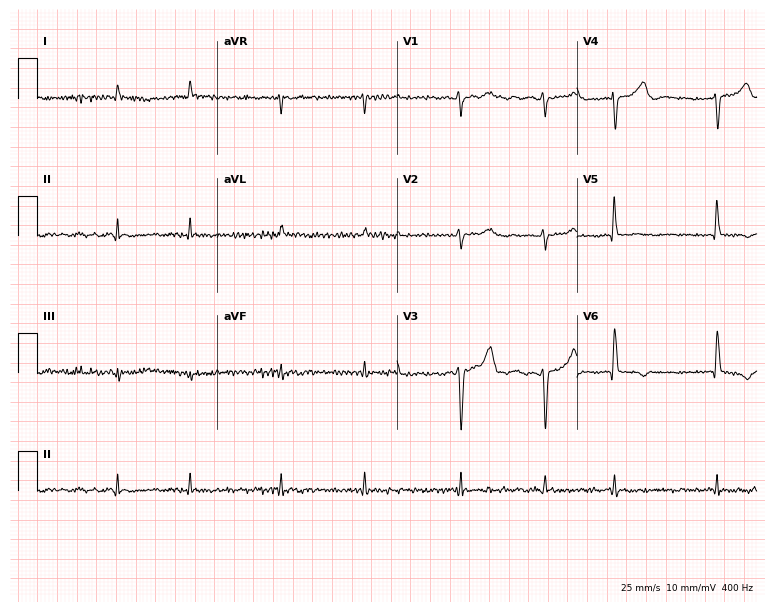
Resting 12-lead electrocardiogram (7.3-second recording at 400 Hz). Patient: a male, 65 years old. None of these six findings is recorded: first-degree AV block, right bundle branch block, left bundle branch block, sinus bradycardia, atrial fibrillation, sinus tachycardia.